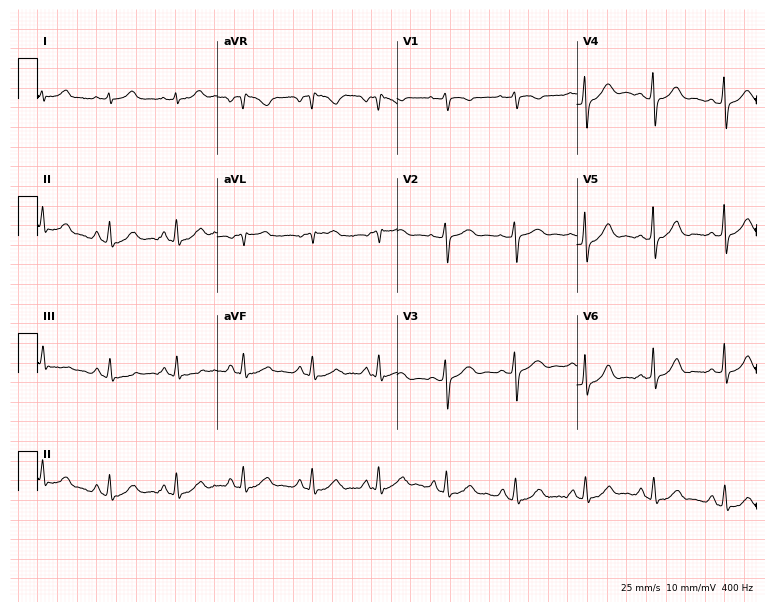
Resting 12-lead electrocardiogram (7.3-second recording at 400 Hz). Patient: a 31-year-old female. None of these six findings is recorded: first-degree AV block, right bundle branch block, left bundle branch block, sinus bradycardia, atrial fibrillation, sinus tachycardia. Findings outside these six are not listed.